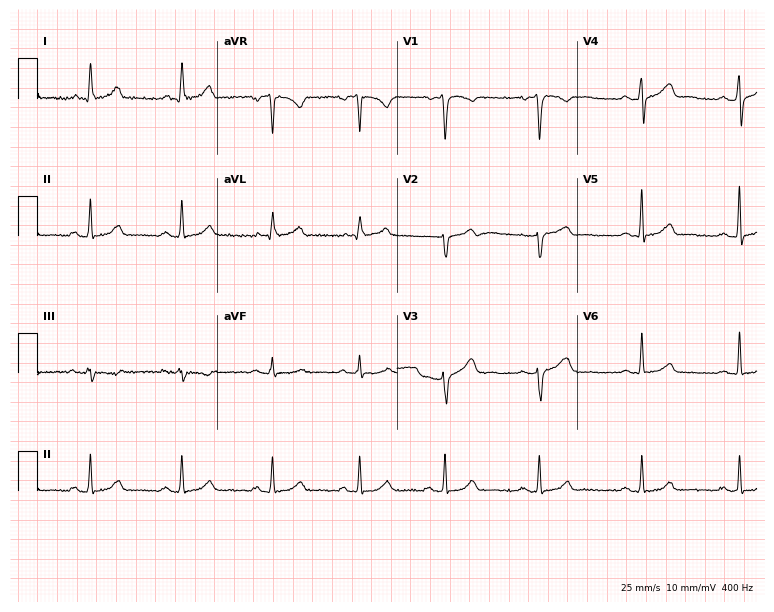
Standard 12-lead ECG recorded from a 41-year-old female patient (7.3-second recording at 400 Hz). Read as a normal ECG.